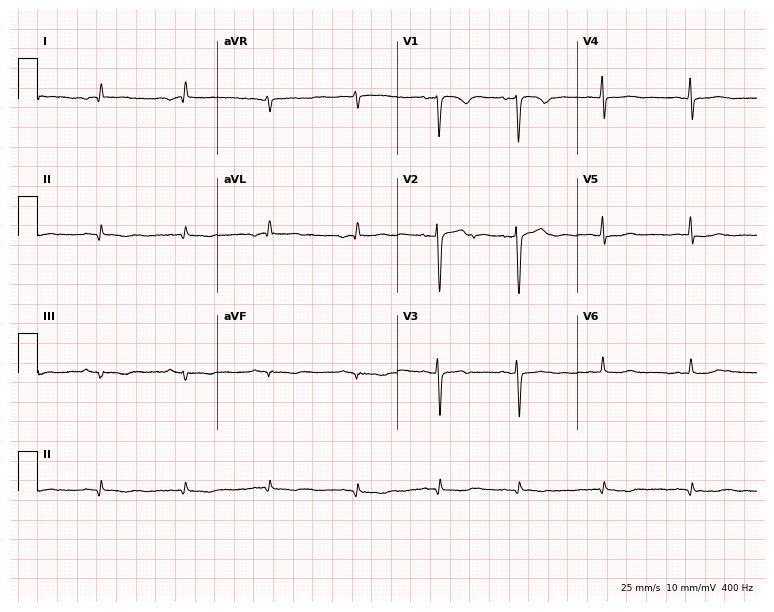
Standard 12-lead ECG recorded from a female patient, 49 years old (7.3-second recording at 400 Hz). None of these six findings is recorded: first-degree AV block, right bundle branch block, left bundle branch block, sinus bradycardia, atrial fibrillation, sinus tachycardia.